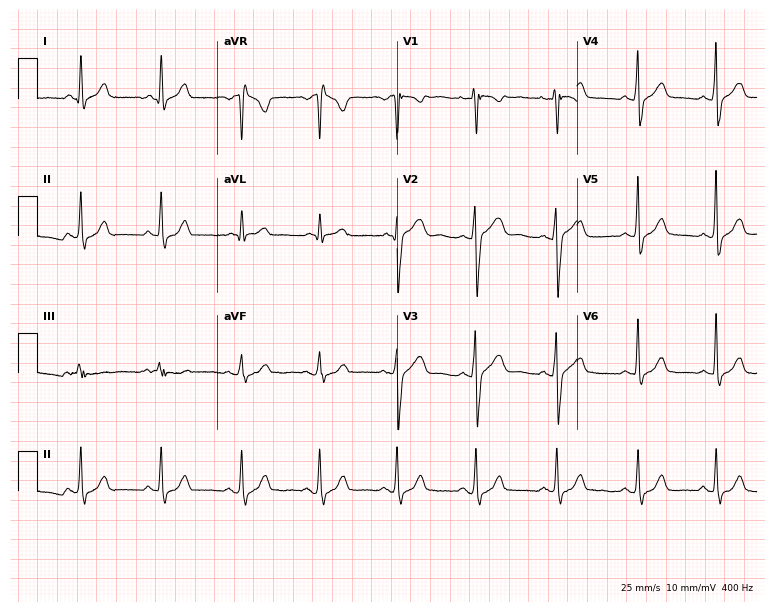
Standard 12-lead ECG recorded from a 42-year-old woman (7.3-second recording at 400 Hz). None of these six findings is recorded: first-degree AV block, right bundle branch block (RBBB), left bundle branch block (LBBB), sinus bradycardia, atrial fibrillation (AF), sinus tachycardia.